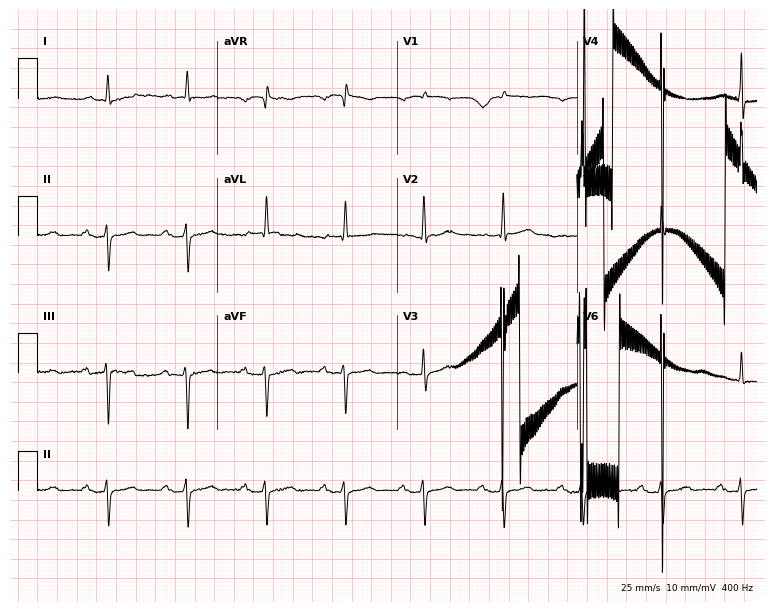
Electrocardiogram (7.3-second recording at 400 Hz), an 85-year-old male. Of the six screened findings (first-degree AV block, right bundle branch block, left bundle branch block, sinus bradycardia, atrial fibrillation, sinus tachycardia), none is recorded. Other findings, if any, are not listed.